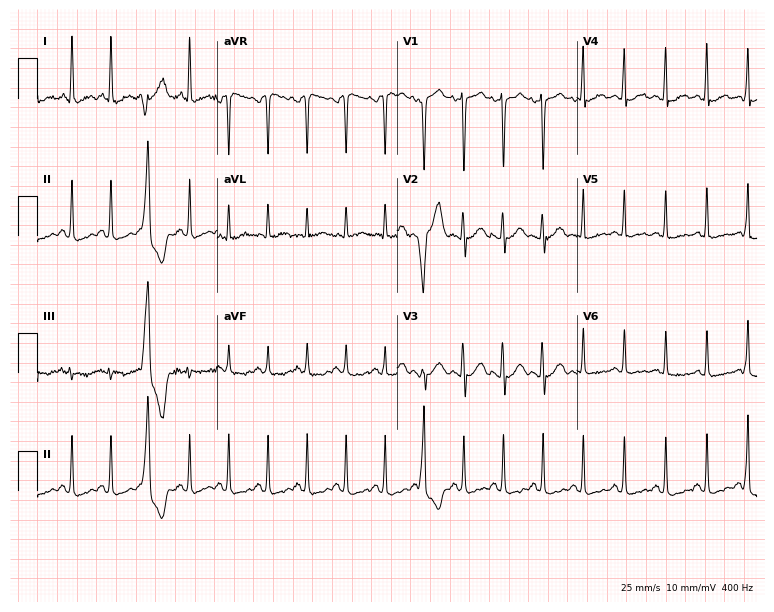
12-lead ECG from a female patient, 23 years old. Findings include sinus tachycardia (a sinus rate of 100 beats per minute or more).